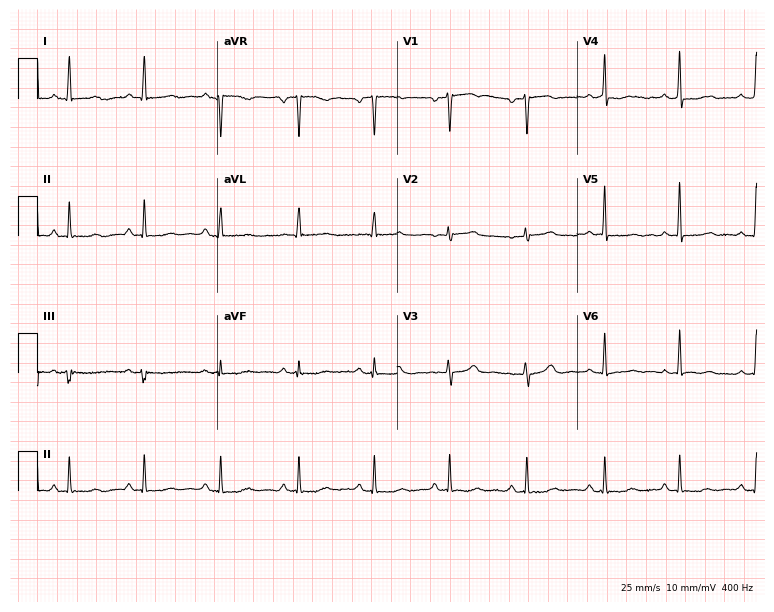
12-lead ECG from a 63-year-old woman. No first-degree AV block, right bundle branch block (RBBB), left bundle branch block (LBBB), sinus bradycardia, atrial fibrillation (AF) or sinus tachycardia recorded for this tracing.